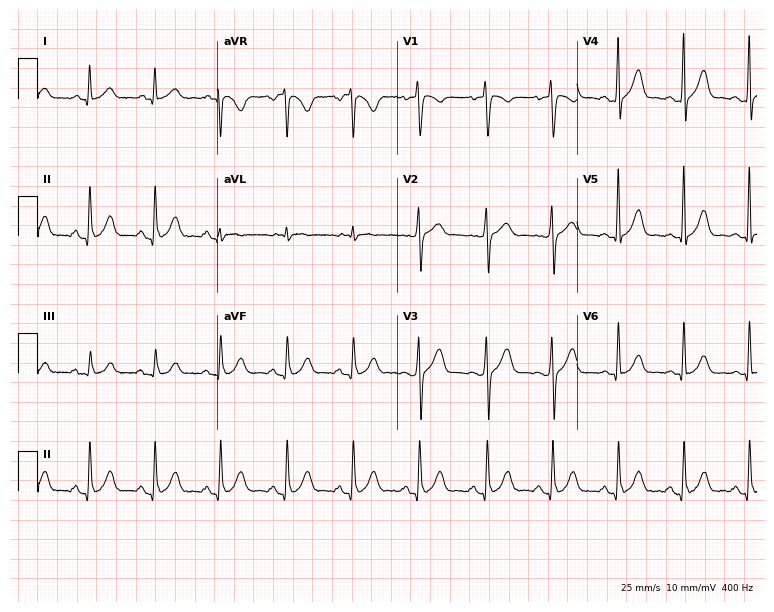
Standard 12-lead ECG recorded from a male patient, 60 years old. Read as a normal ECG.